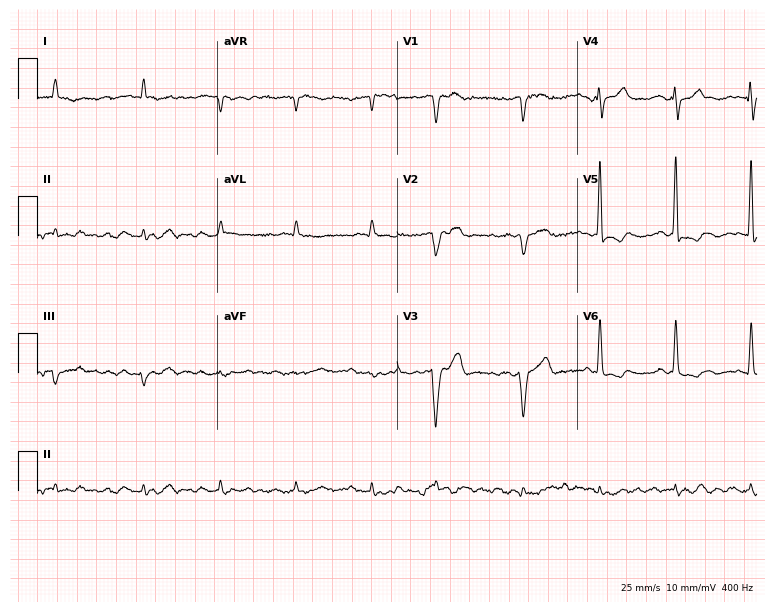
ECG — a 79-year-old male. Screened for six findings — first-degree AV block, right bundle branch block (RBBB), left bundle branch block (LBBB), sinus bradycardia, atrial fibrillation (AF), sinus tachycardia — none is recorded.